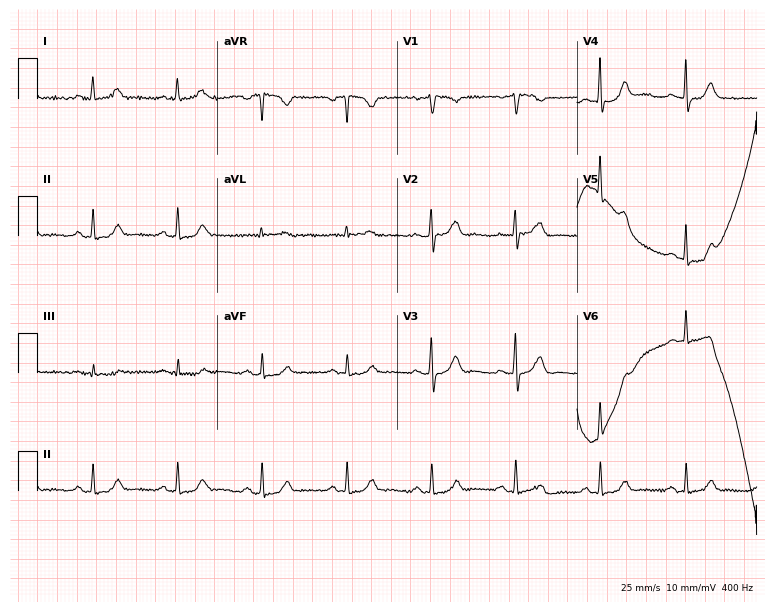
Electrocardiogram (7.3-second recording at 400 Hz), a 60-year-old female. Overall reading on record: normal ECG.